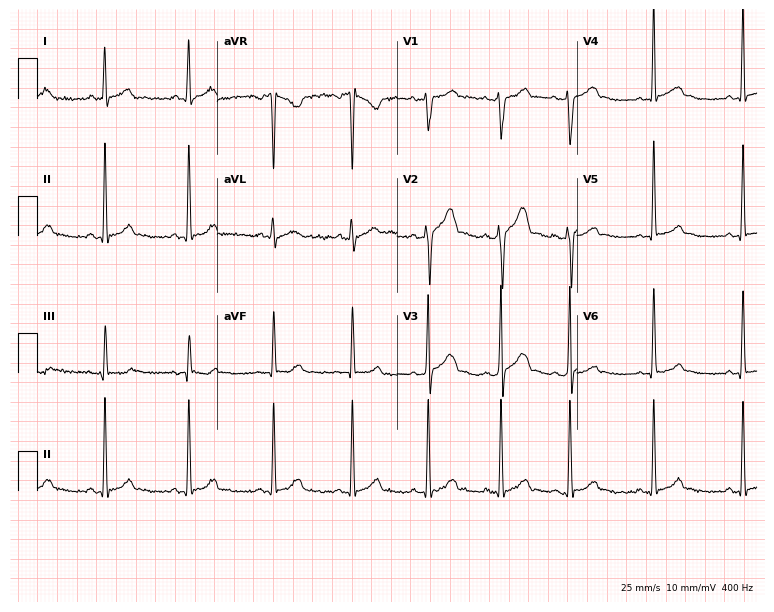
Resting 12-lead electrocardiogram (7.3-second recording at 400 Hz). Patient: a 21-year-old male. Read as a normal ECG.